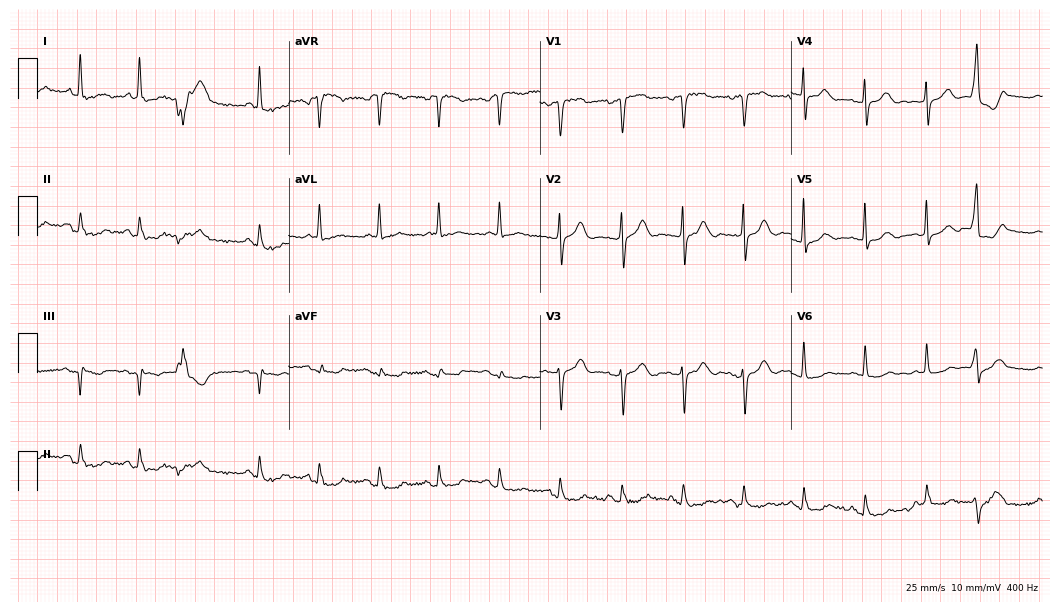
ECG — an 84-year-old woman. Screened for six findings — first-degree AV block, right bundle branch block, left bundle branch block, sinus bradycardia, atrial fibrillation, sinus tachycardia — none is recorded.